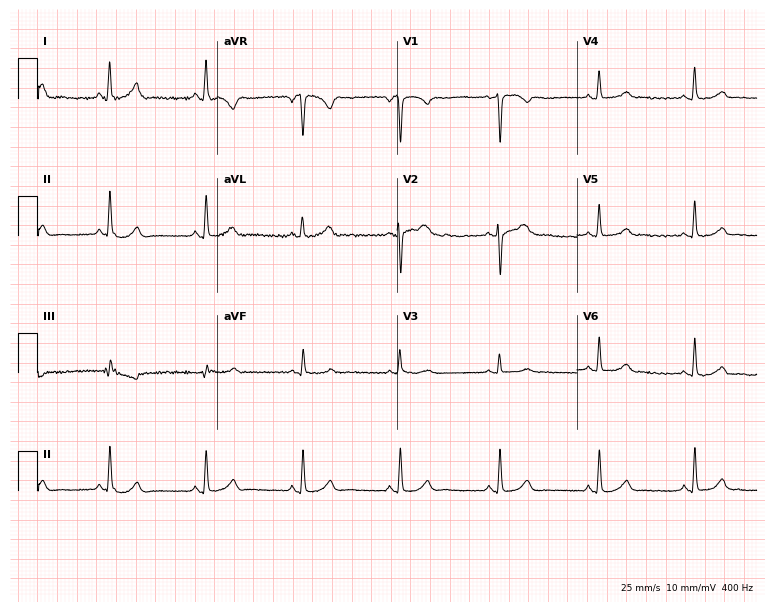
Resting 12-lead electrocardiogram (7.3-second recording at 400 Hz). Patient: a woman, 34 years old. Read as a normal ECG.